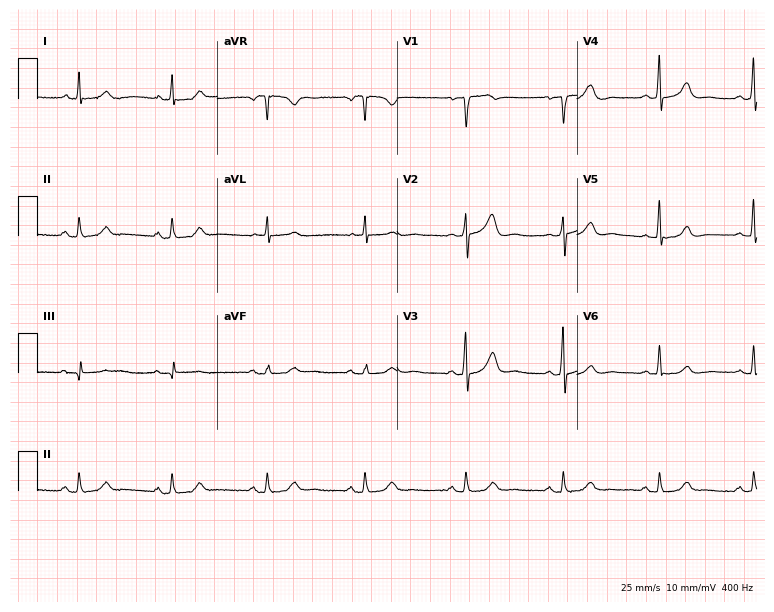
12-lead ECG (7.3-second recording at 400 Hz) from a 50-year-old female. Labelled as a normal ECG.